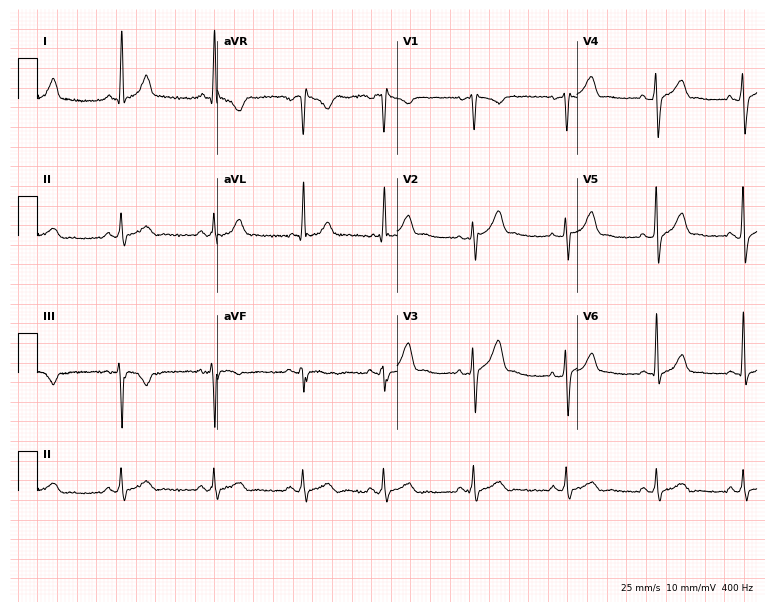
12-lead ECG (7.3-second recording at 400 Hz) from a 39-year-old male. Screened for six findings — first-degree AV block, right bundle branch block, left bundle branch block, sinus bradycardia, atrial fibrillation, sinus tachycardia — none is recorded. Other findings, if any, are not listed.